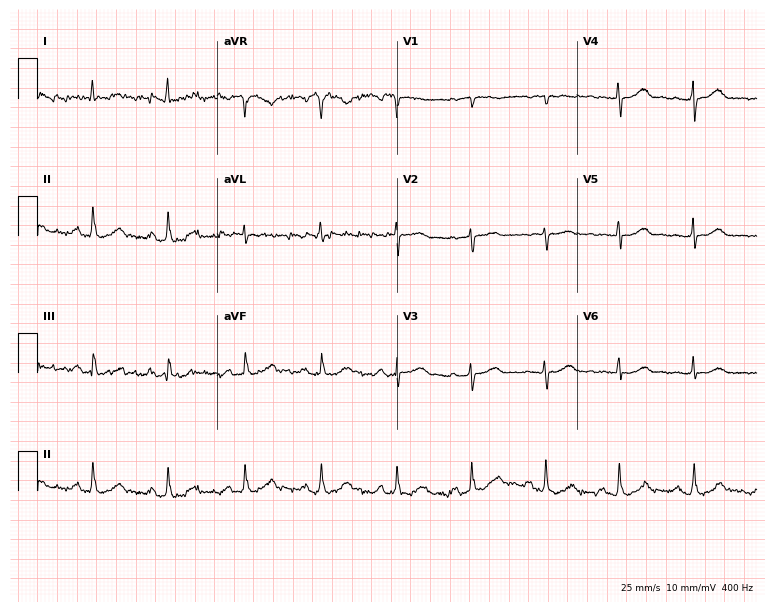
Resting 12-lead electrocardiogram (7.3-second recording at 400 Hz). Patient: a 58-year-old woman. Read as a normal ECG.